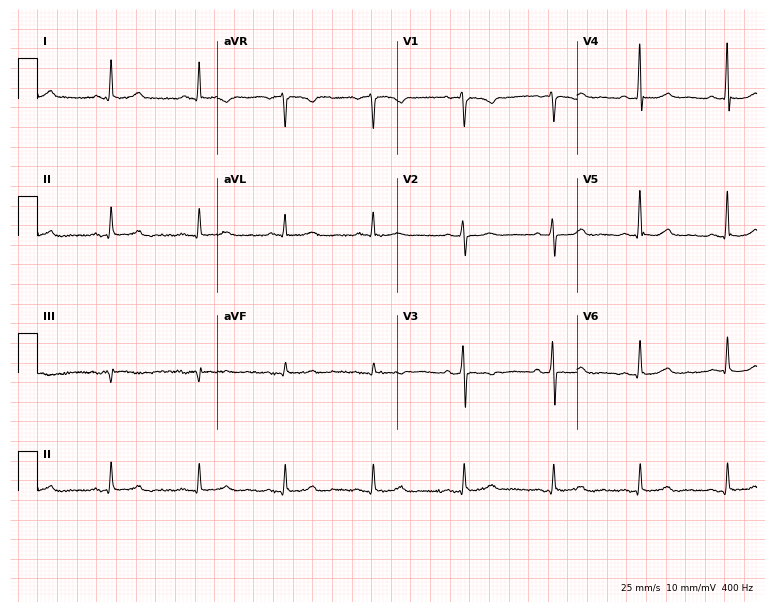
12-lead ECG (7.3-second recording at 400 Hz) from a 59-year-old woman. Labelled as a normal ECG.